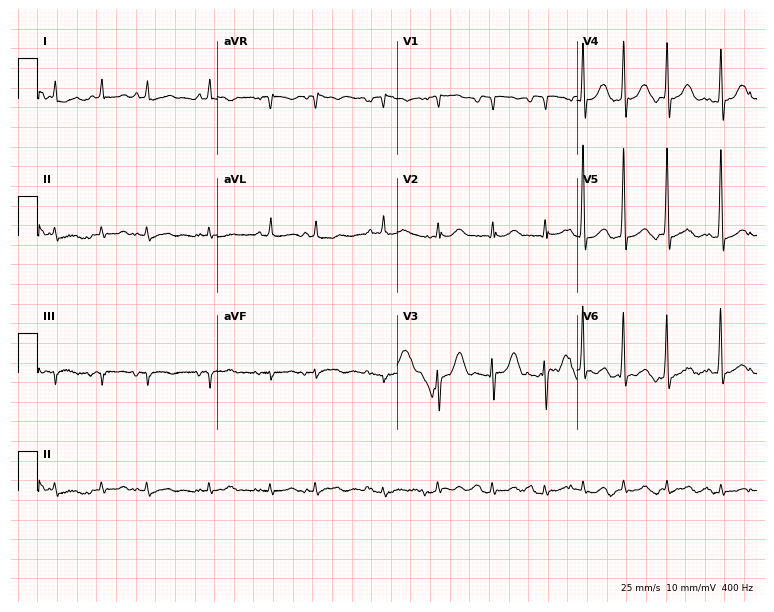
Electrocardiogram, an 82-year-old man. Of the six screened findings (first-degree AV block, right bundle branch block, left bundle branch block, sinus bradycardia, atrial fibrillation, sinus tachycardia), none is recorded. Other findings, if any, are not listed.